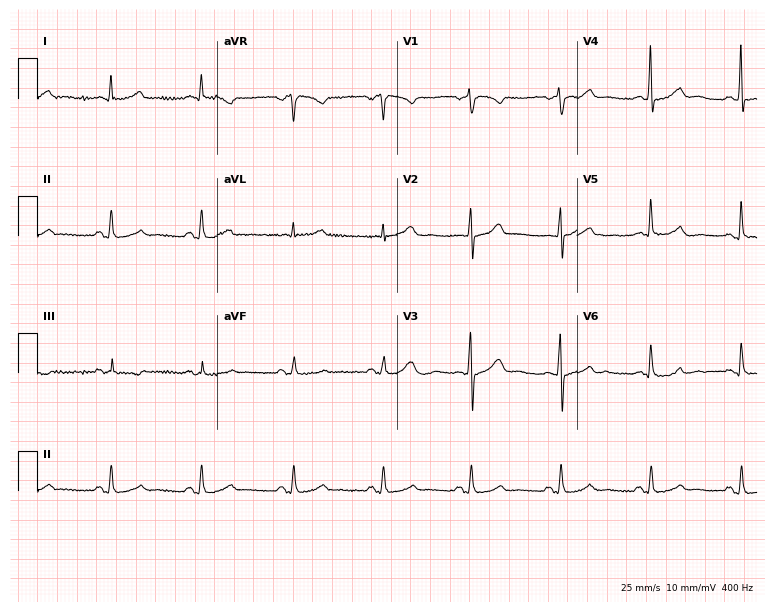
Standard 12-lead ECG recorded from a female, 58 years old (7.3-second recording at 400 Hz). None of these six findings is recorded: first-degree AV block, right bundle branch block, left bundle branch block, sinus bradycardia, atrial fibrillation, sinus tachycardia. Only these six findings were labelled.